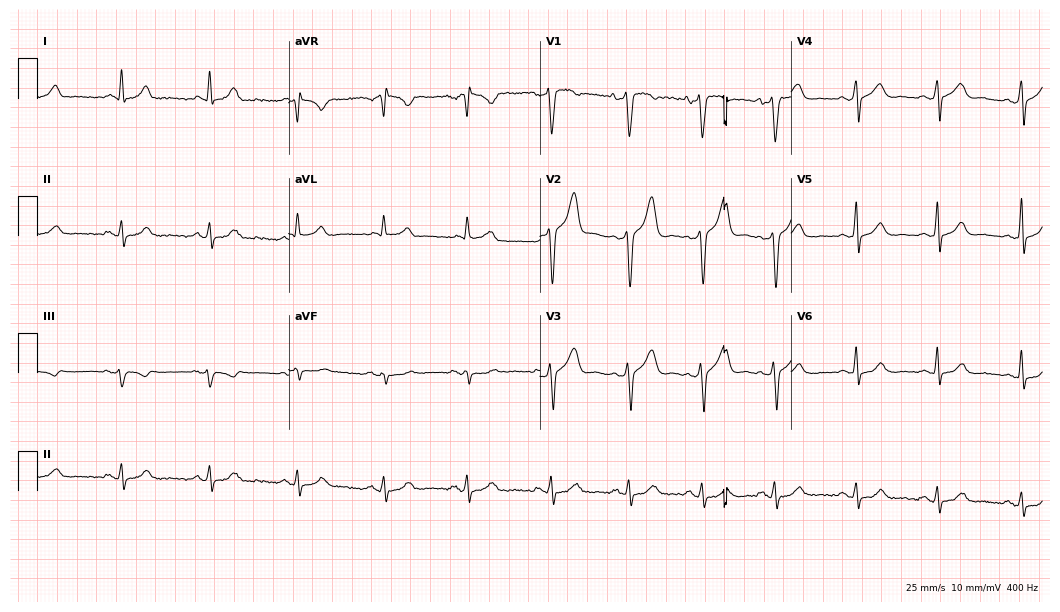
ECG (10.2-second recording at 400 Hz) — a 40-year-old male patient. Labelled as a normal ECG.